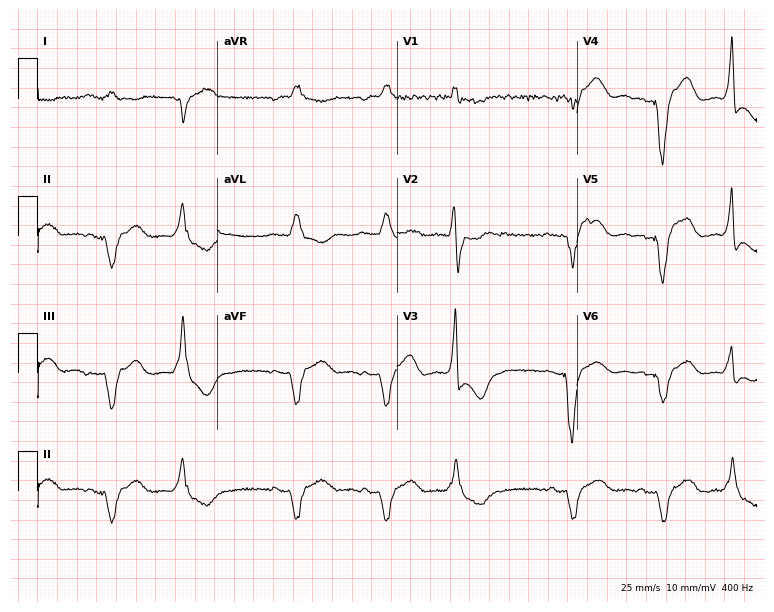
Electrocardiogram (7.3-second recording at 400 Hz), a female, 51 years old. Of the six screened findings (first-degree AV block, right bundle branch block, left bundle branch block, sinus bradycardia, atrial fibrillation, sinus tachycardia), none is recorded.